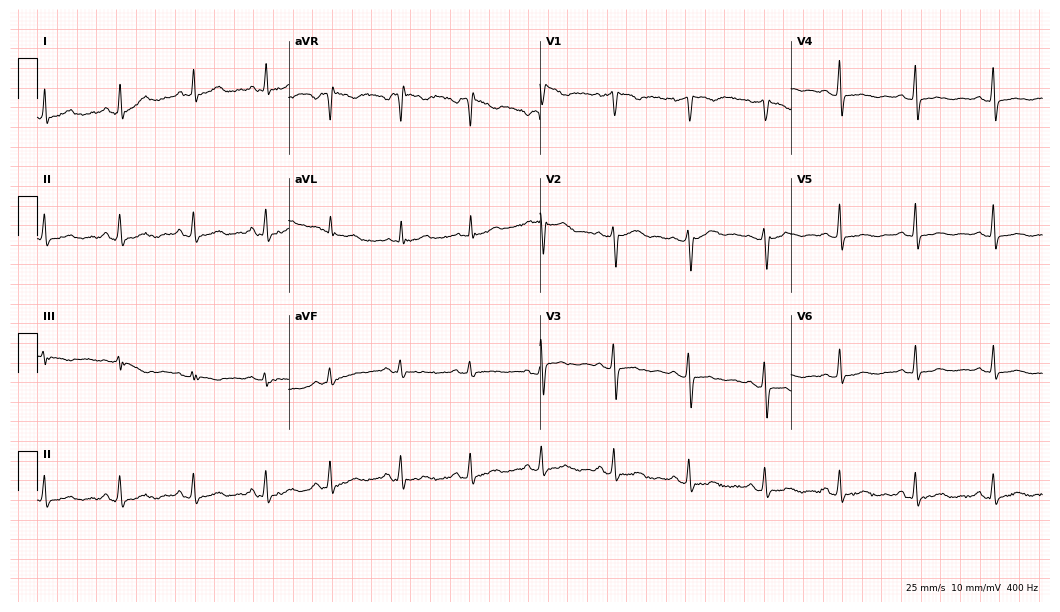
12-lead ECG from a woman, 49 years old. Screened for six findings — first-degree AV block, right bundle branch block, left bundle branch block, sinus bradycardia, atrial fibrillation, sinus tachycardia — none is recorded.